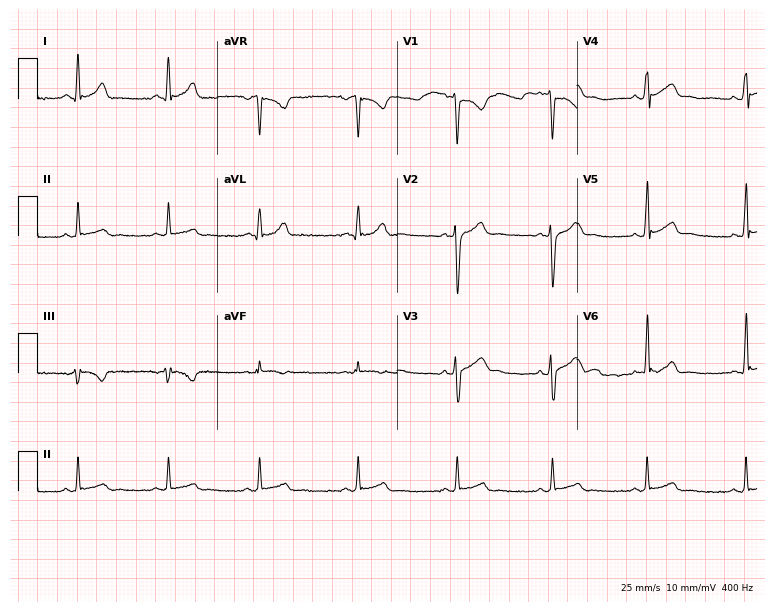
12-lead ECG (7.3-second recording at 400 Hz) from a 19-year-old male patient. Screened for six findings — first-degree AV block, right bundle branch block (RBBB), left bundle branch block (LBBB), sinus bradycardia, atrial fibrillation (AF), sinus tachycardia — none is recorded. Other findings, if any, are not listed.